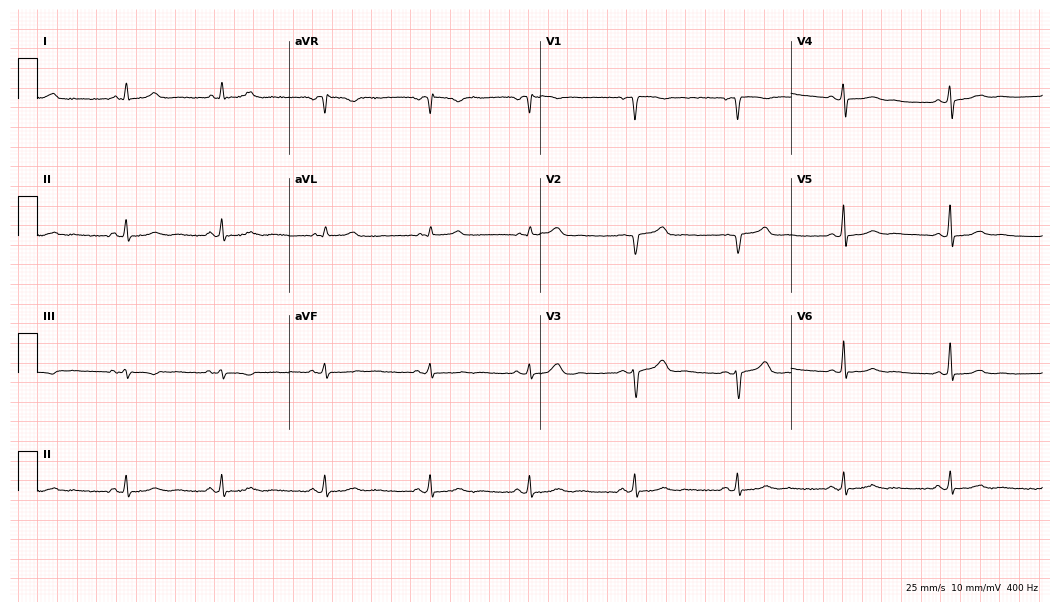
Electrocardiogram (10.2-second recording at 400 Hz), a 42-year-old female. Overall reading on record: normal ECG.